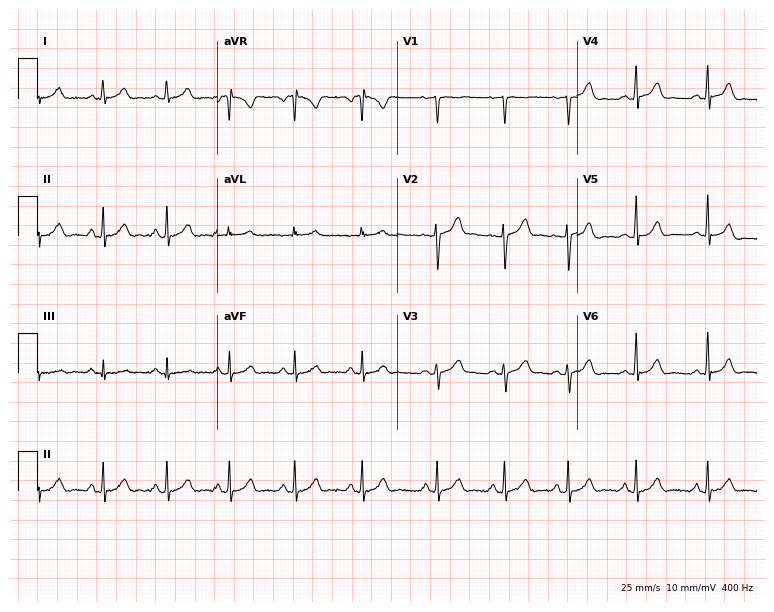
12-lead ECG from a 17-year-old woman. Labelled as a normal ECG.